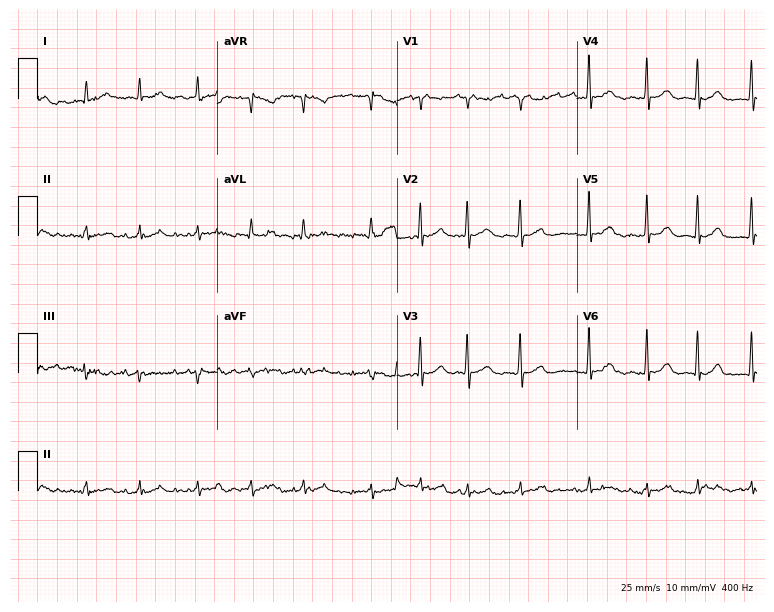
ECG — a woman, 71 years old. Findings include atrial fibrillation (AF).